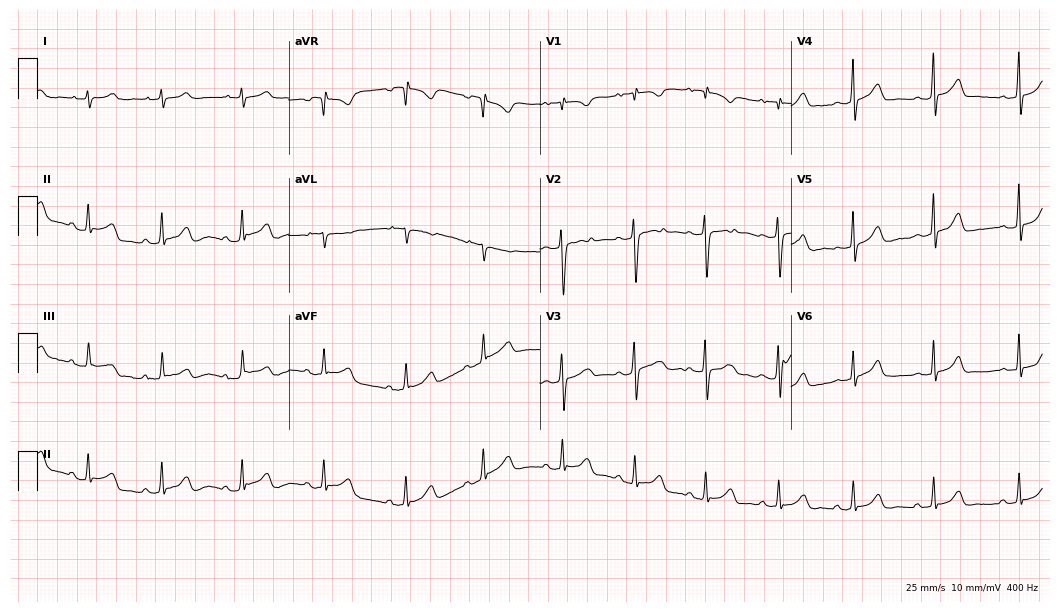
Electrocardiogram, a 17-year-old female. Overall reading on record: normal ECG.